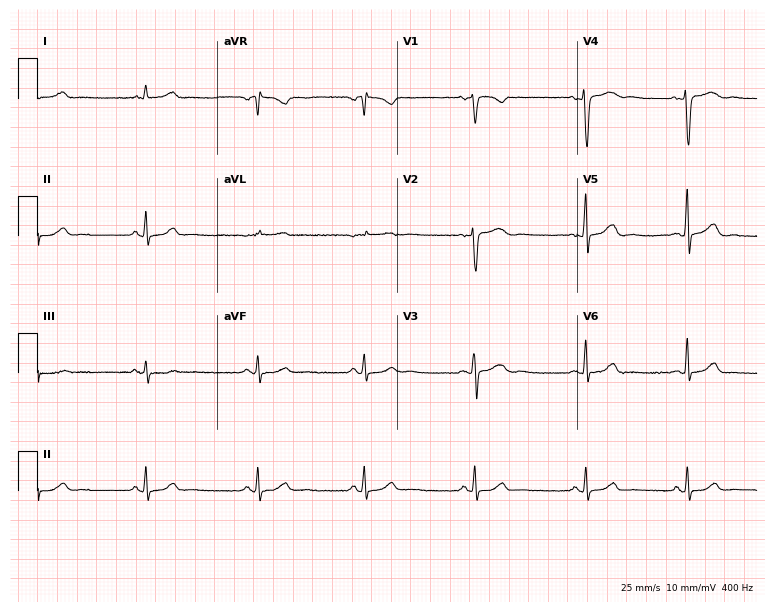
Resting 12-lead electrocardiogram. Patient: a female, 44 years old. Read as a normal ECG.